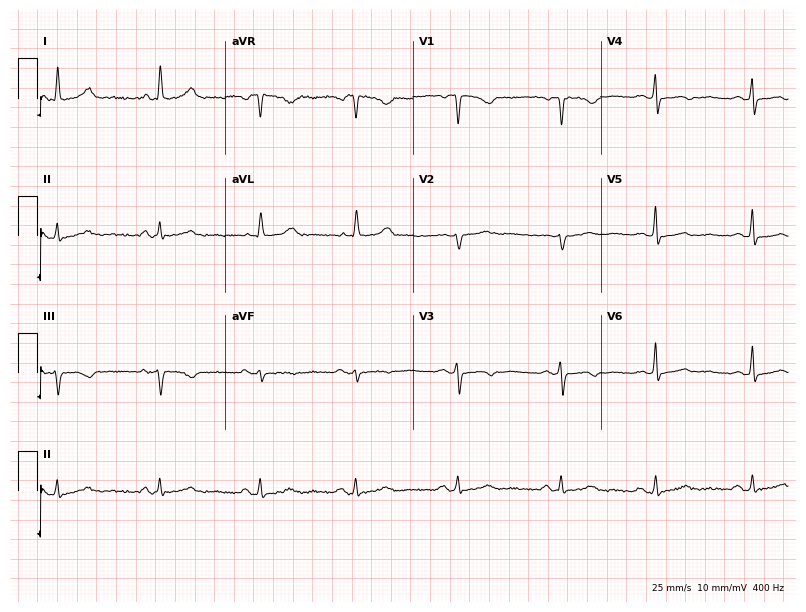
ECG (7.7-second recording at 400 Hz) — a female patient, 43 years old. Screened for six findings — first-degree AV block, right bundle branch block (RBBB), left bundle branch block (LBBB), sinus bradycardia, atrial fibrillation (AF), sinus tachycardia — none is recorded. Findings outside these six are not listed.